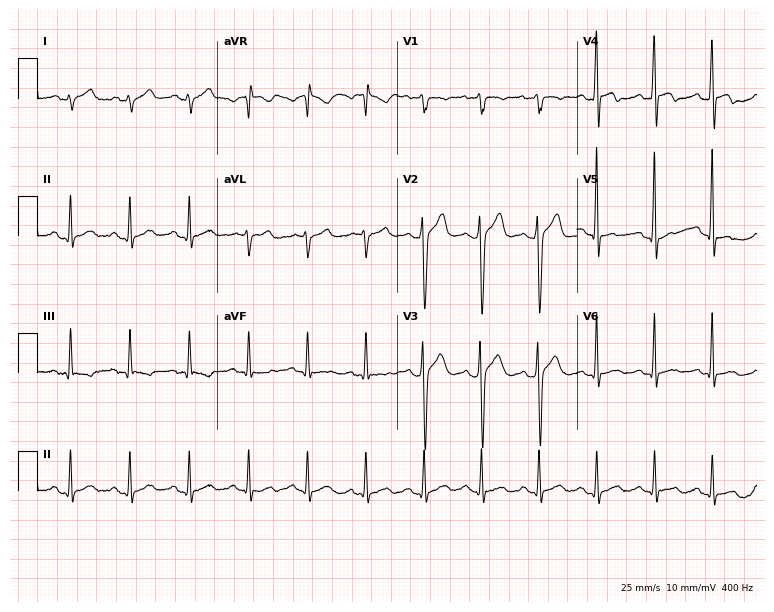
Electrocardiogram (7.3-second recording at 400 Hz), a 27-year-old male patient. Of the six screened findings (first-degree AV block, right bundle branch block (RBBB), left bundle branch block (LBBB), sinus bradycardia, atrial fibrillation (AF), sinus tachycardia), none is recorded.